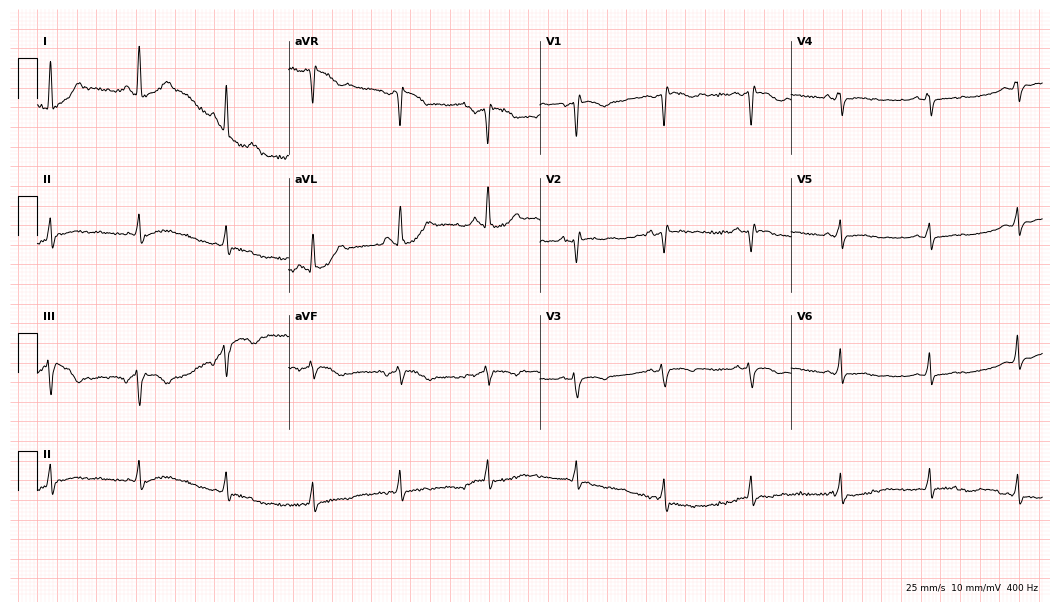
Standard 12-lead ECG recorded from a 38-year-old female (10.2-second recording at 400 Hz). None of these six findings is recorded: first-degree AV block, right bundle branch block, left bundle branch block, sinus bradycardia, atrial fibrillation, sinus tachycardia.